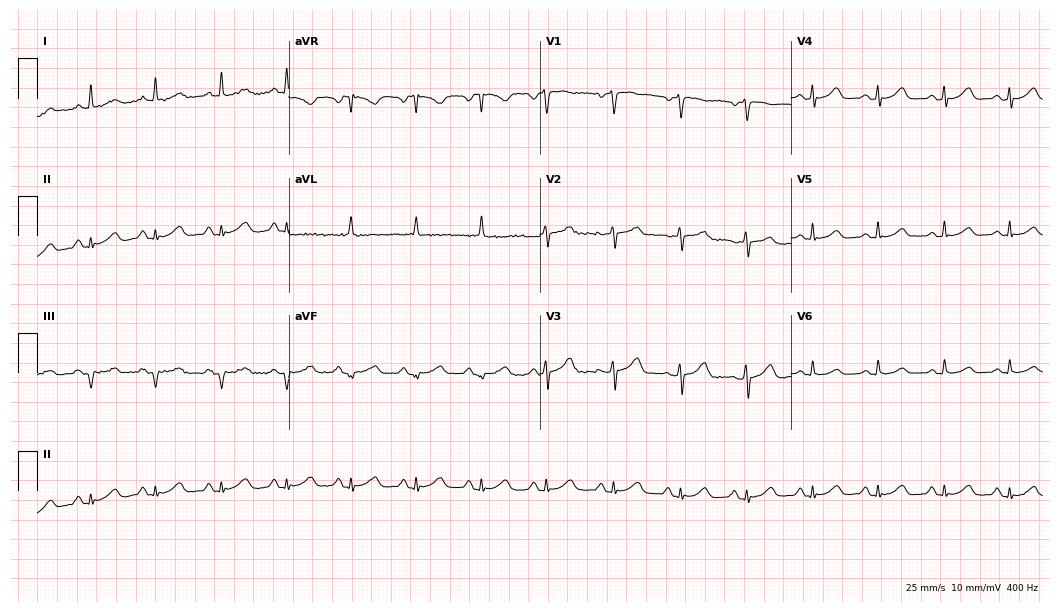
ECG — a 69-year-old female. Screened for six findings — first-degree AV block, right bundle branch block, left bundle branch block, sinus bradycardia, atrial fibrillation, sinus tachycardia — none is recorded.